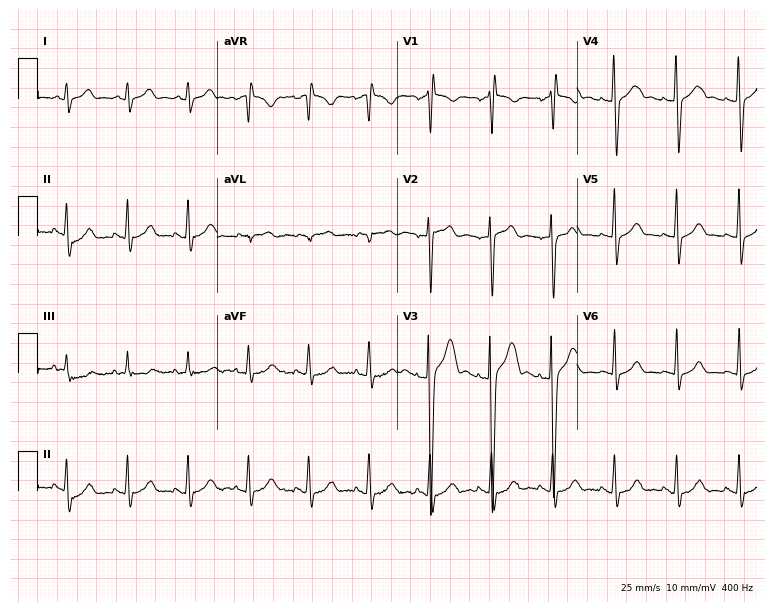
Electrocardiogram (7.3-second recording at 400 Hz), a male patient, 24 years old. Of the six screened findings (first-degree AV block, right bundle branch block, left bundle branch block, sinus bradycardia, atrial fibrillation, sinus tachycardia), none is recorded. Other findings, if any, are not listed.